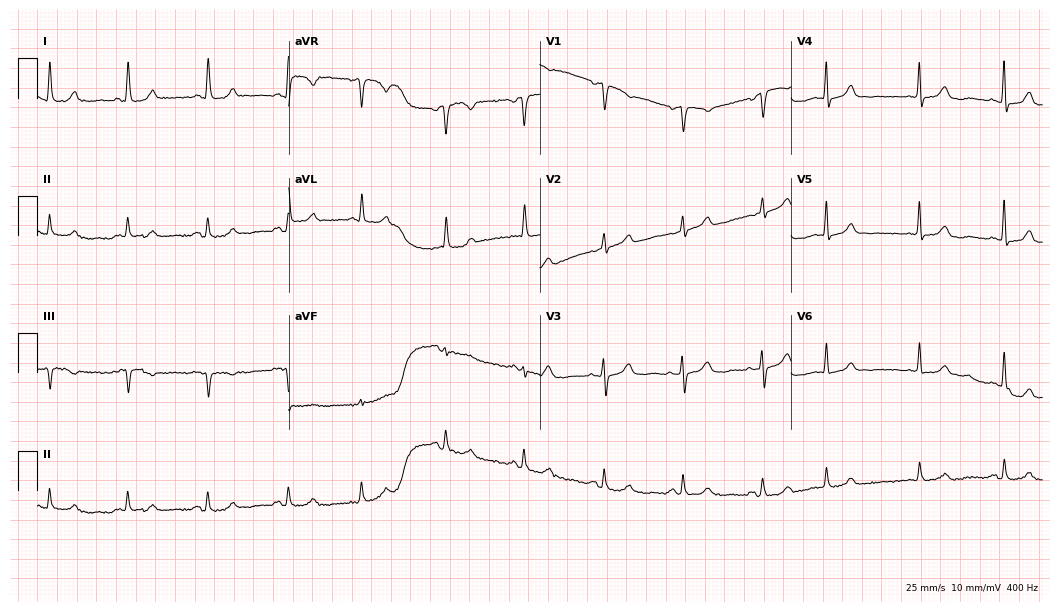
12-lead ECG from a female, 75 years old (10.2-second recording at 400 Hz). No first-degree AV block, right bundle branch block (RBBB), left bundle branch block (LBBB), sinus bradycardia, atrial fibrillation (AF) or sinus tachycardia recorded for this tracing. Other findings, if any, are not listed.